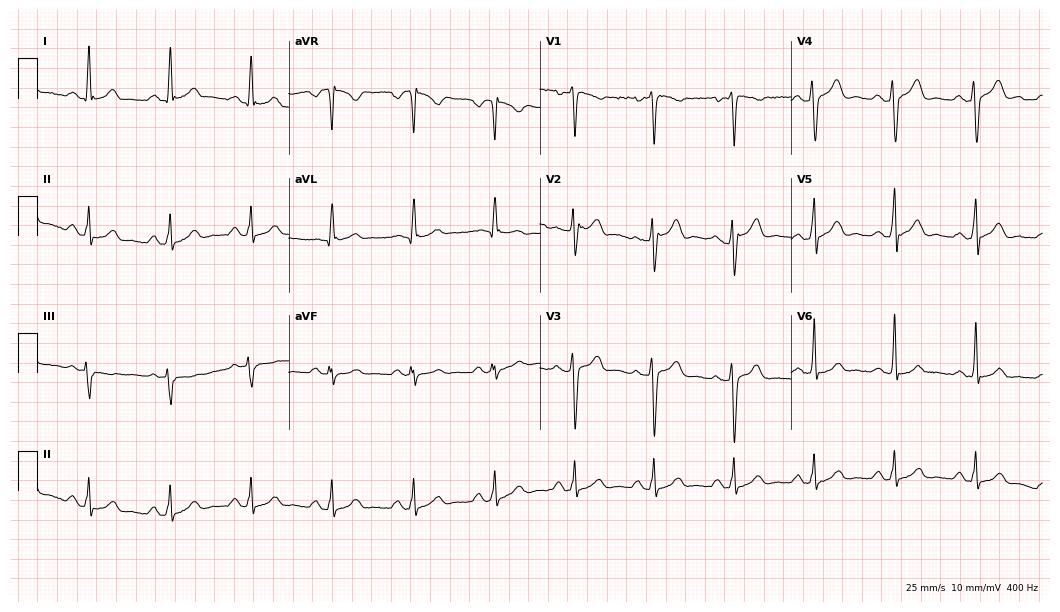
Resting 12-lead electrocardiogram (10.2-second recording at 400 Hz). Patient: a 28-year-old male. Read as a normal ECG.